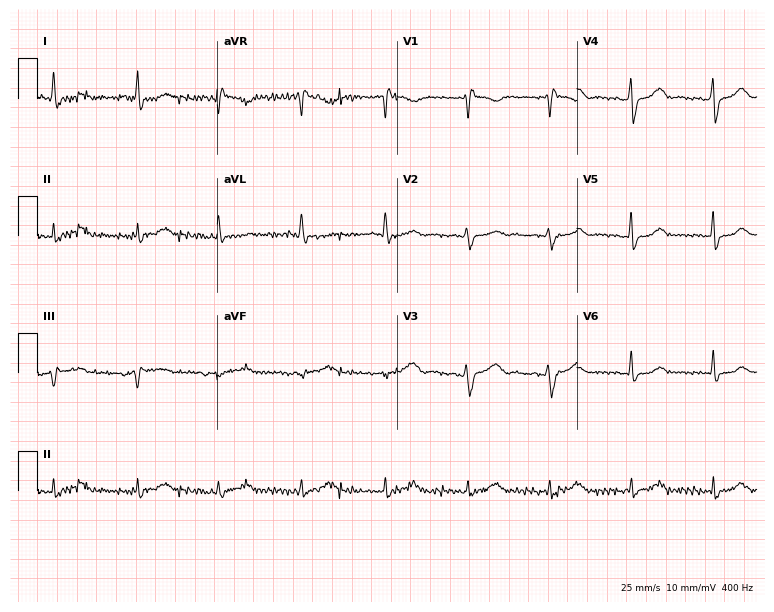
12-lead ECG from a male, 62 years old. No first-degree AV block, right bundle branch block, left bundle branch block, sinus bradycardia, atrial fibrillation or sinus tachycardia recorded for this tracing.